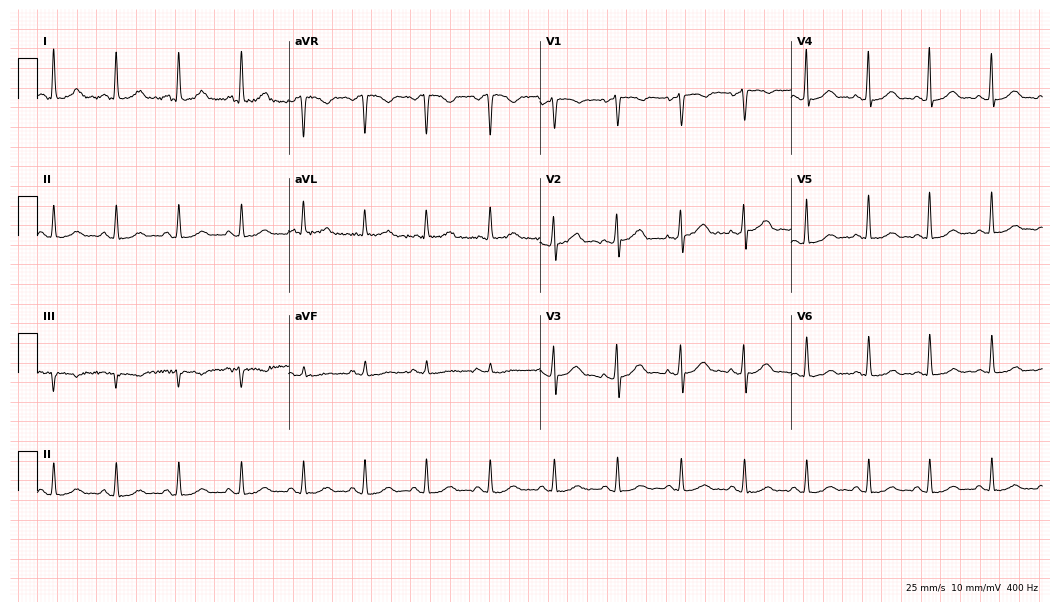
Resting 12-lead electrocardiogram. Patient: a female, 49 years old. Read as a normal ECG.